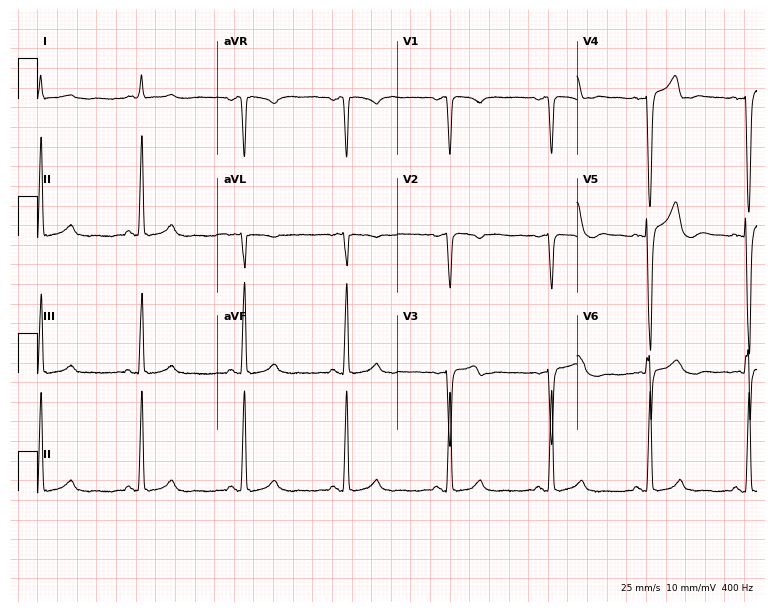
12-lead ECG from a 56-year-old male patient (7.3-second recording at 400 Hz). No first-degree AV block, right bundle branch block, left bundle branch block, sinus bradycardia, atrial fibrillation or sinus tachycardia recorded for this tracing. Findings outside these six are not listed.